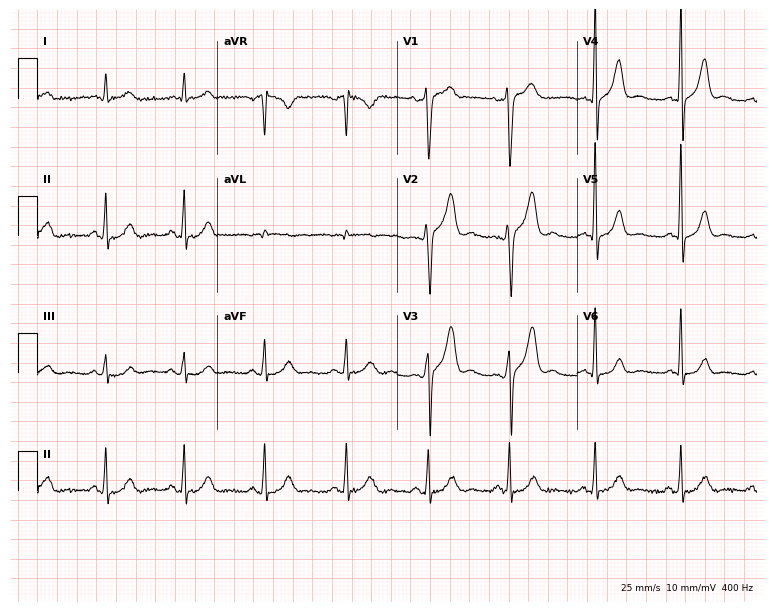
Electrocardiogram (7.3-second recording at 400 Hz), a male, 34 years old. Overall reading on record: normal ECG.